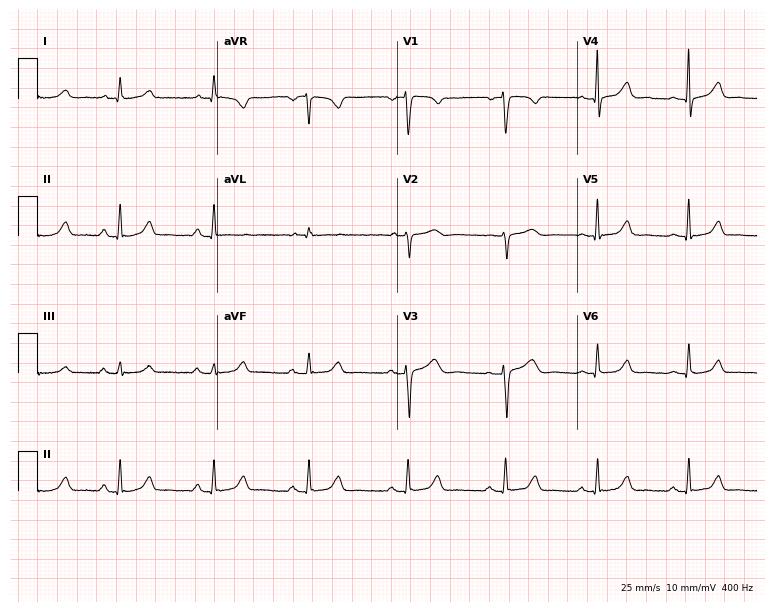
12-lead ECG from a female, 43 years old (7.3-second recording at 400 Hz). No first-degree AV block, right bundle branch block, left bundle branch block, sinus bradycardia, atrial fibrillation or sinus tachycardia recorded for this tracing. Findings outside these six are not listed.